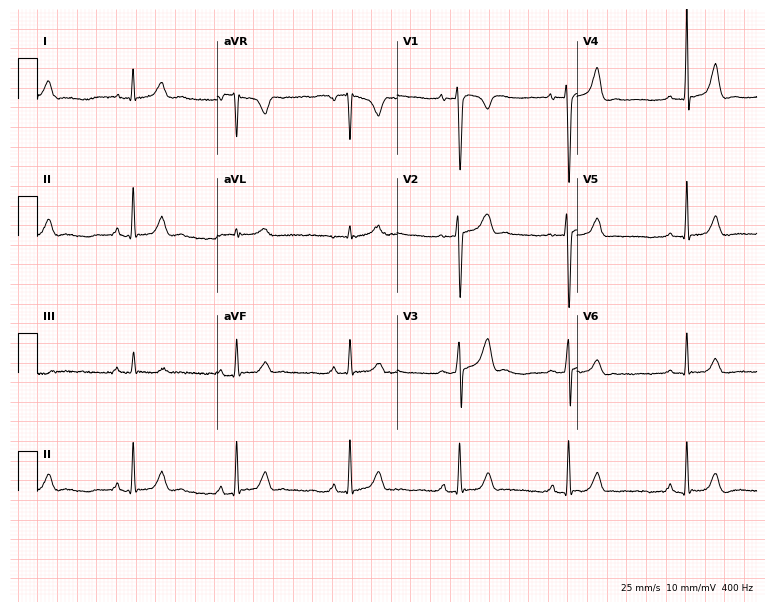
Resting 12-lead electrocardiogram (7.3-second recording at 400 Hz). Patient: a 19-year-old male. Read as a normal ECG.